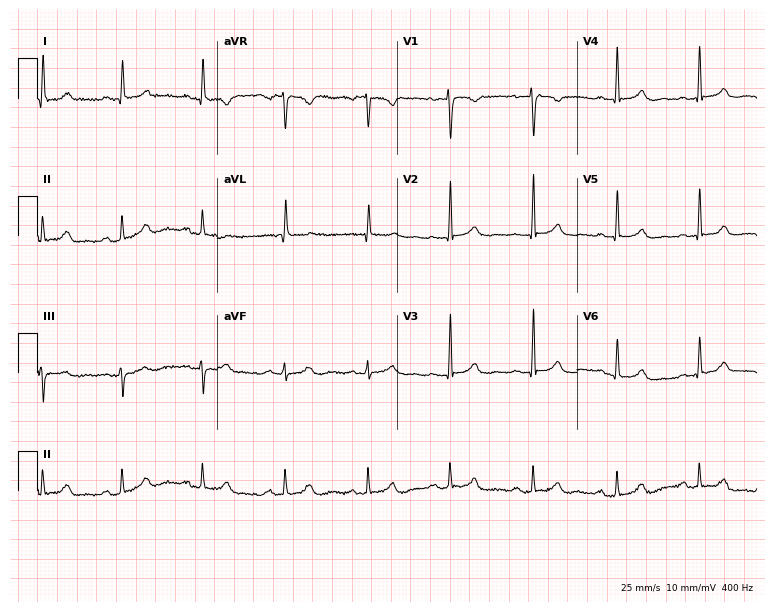
12-lead ECG from a 48-year-old female patient. Screened for six findings — first-degree AV block, right bundle branch block, left bundle branch block, sinus bradycardia, atrial fibrillation, sinus tachycardia — none is recorded. Other findings, if any, are not listed.